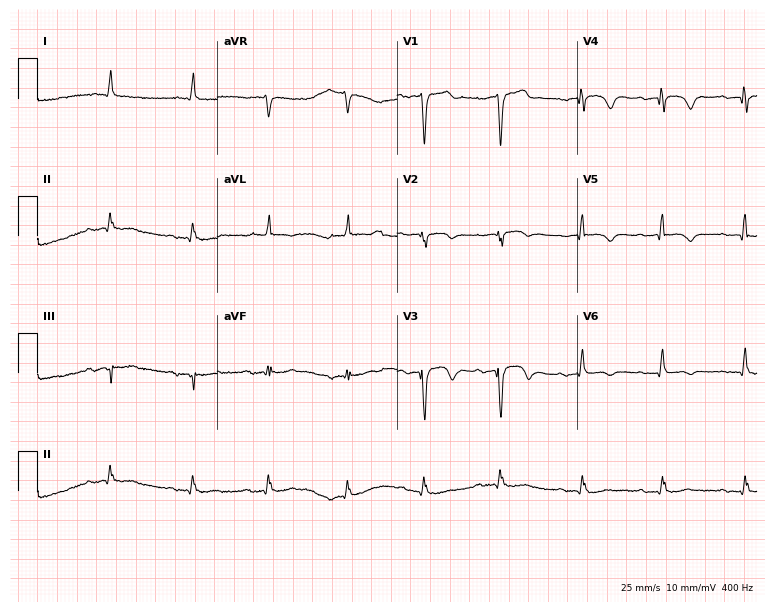
Electrocardiogram (7.3-second recording at 400 Hz), a 76-year-old male. Of the six screened findings (first-degree AV block, right bundle branch block, left bundle branch block, sinus bradycardia, atrial fibrillation, sinus tachycardia), none is recorded.